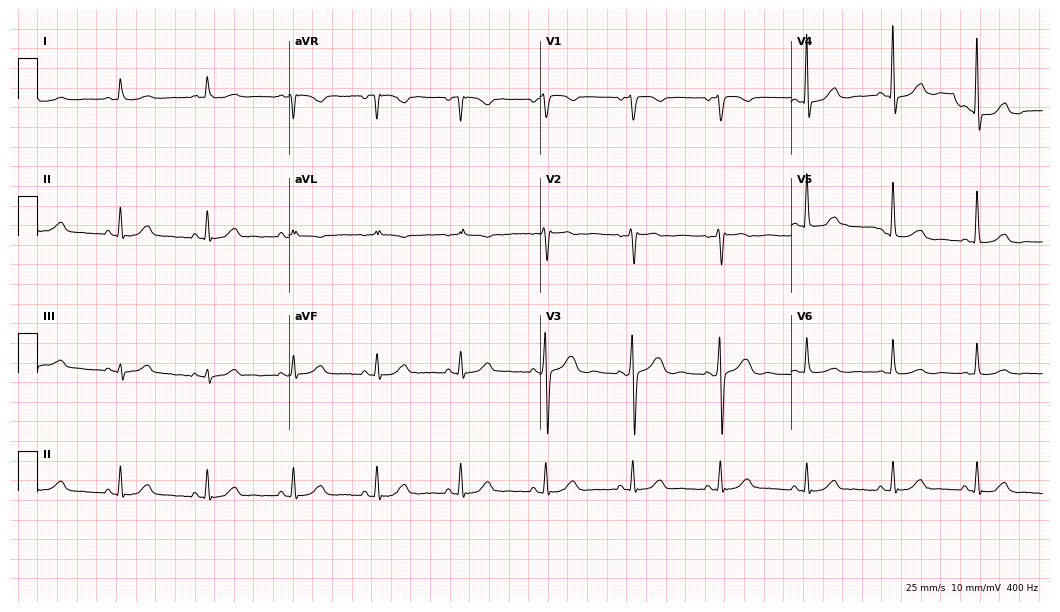
Electrocardiogram, a 71-year-old female patient. Of the six screened findings (first-degree AV block, right bundle branch block, left bundle branch block, sinus bradycardia, atrial fibrillation, sinus tachycardia), none is recorded. Only these six findings were labelled.